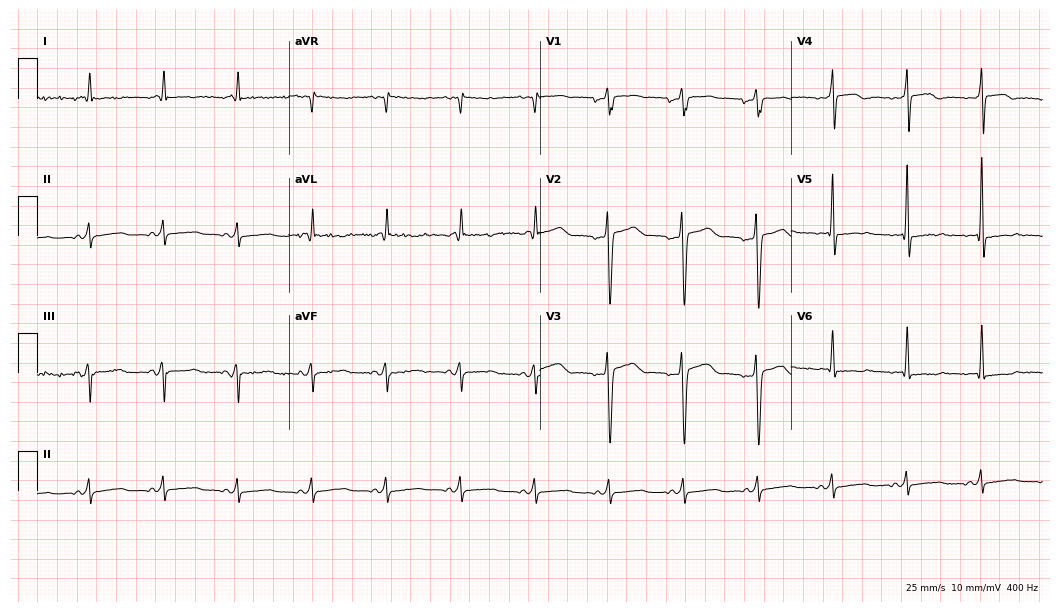
Electrocardiogram, a 79-year-old woman. Of the six screened findings (first-degree AV block, right bundle branch block, left bundle branch block, sinus bradycardia, atrial fibrillation, sinus tachycardia), none is recorded.